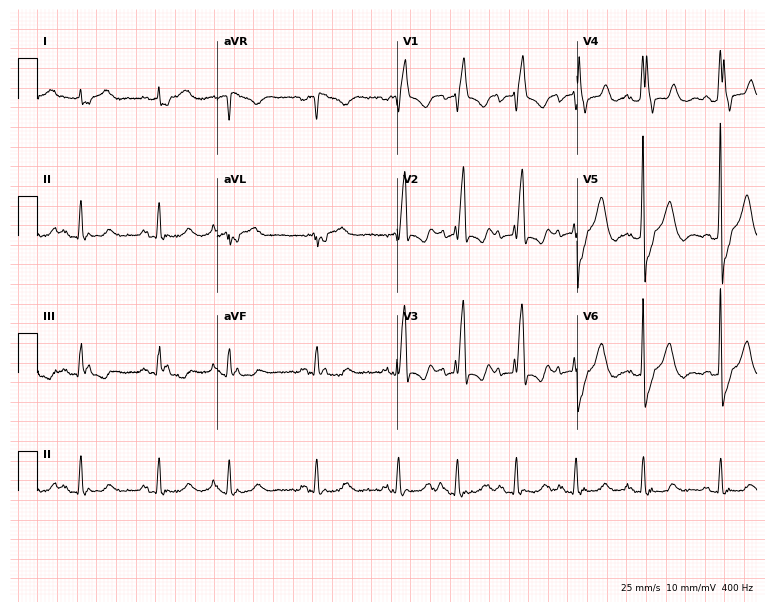
Resting 12-lead electrocardiogram. Patient: a male, 83 years old. The tracing shows right bundle branch block.